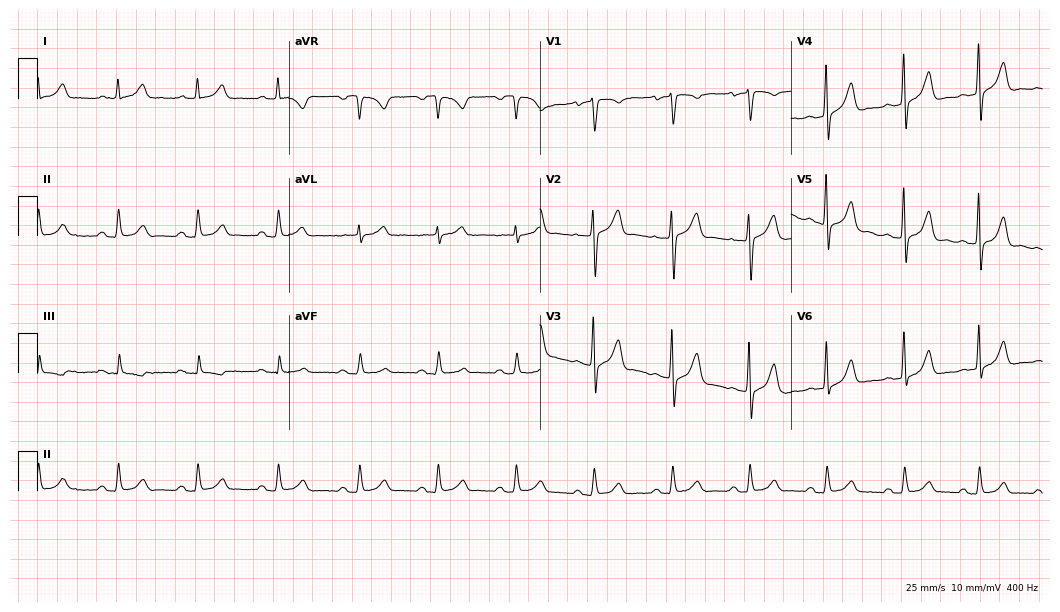
12-lead ECG (10.2-second recording at 400 Hz) from a 60-year-old male patient. Screened for six findings — first-degree AV block, right bundle branch block, left bundle branch block, sinus bradycardia, atrial fibrillation, sinus tachycardia — none is recorded.